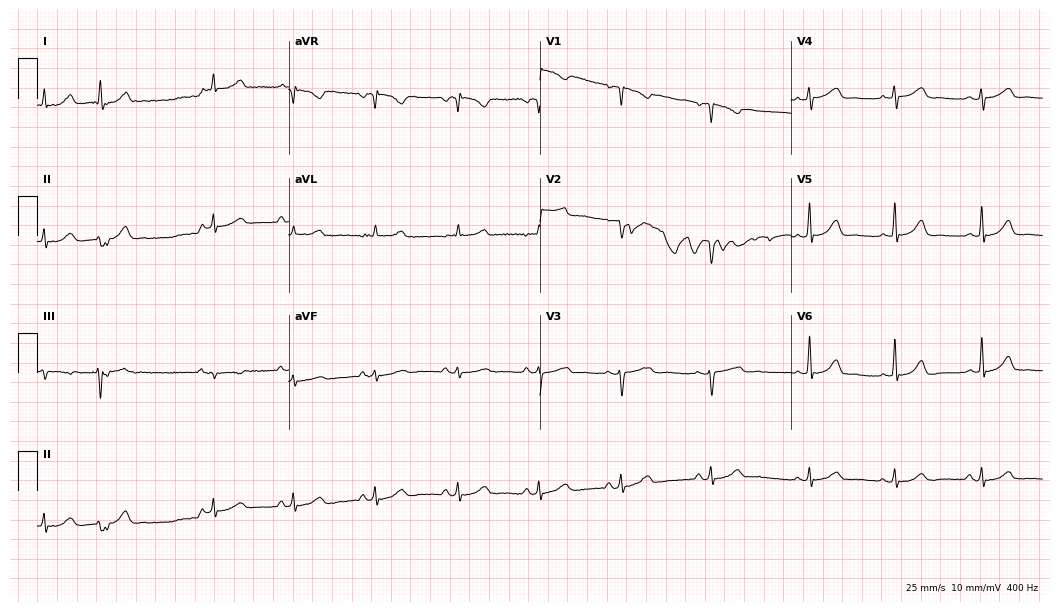
12-lead ECG (10.2-second recording at 400 Hz) from a 35-year-old female. Screened for six findings — first-degree AV block, right bundle branch block, left bundle branch block, sinus bradycardia, atrial fibrillation, sinus tachycardia — none is recorded.